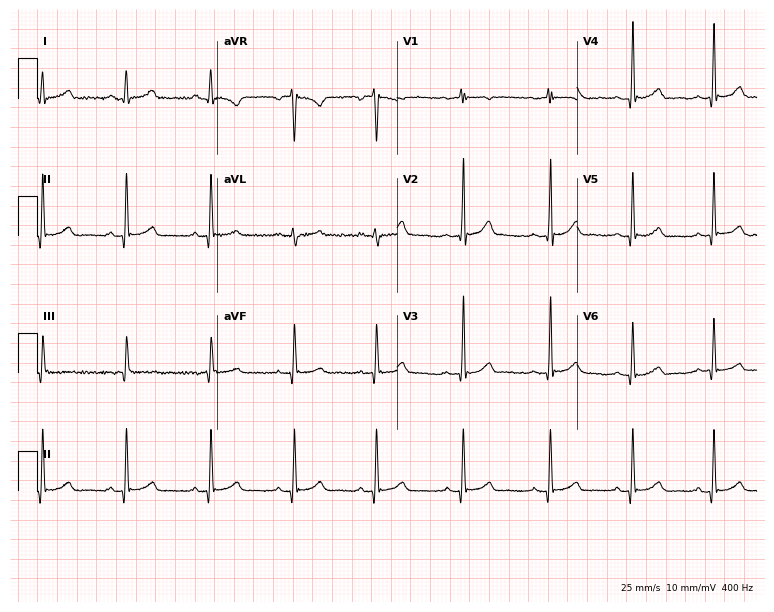
12-lead ECG from a 24-year-old woman (7.3-second recording at 400 Hz). Recorded interpretation: within normal limits.